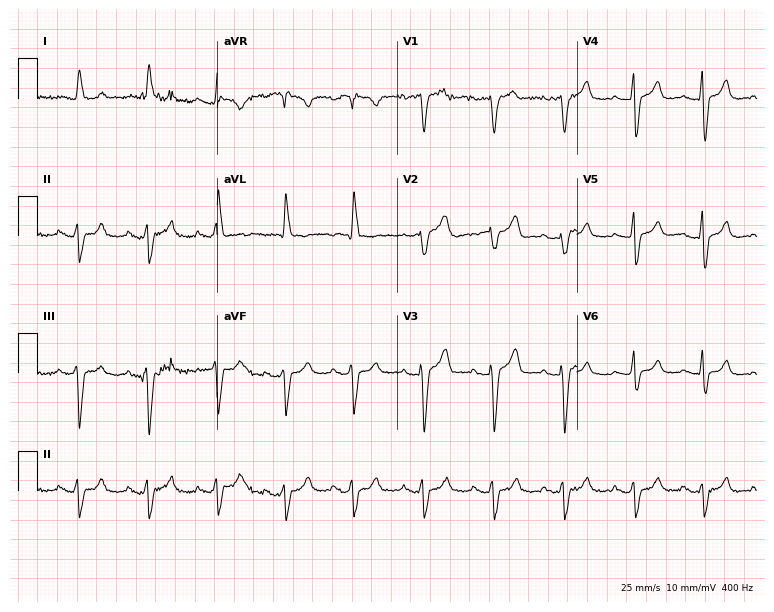
ECG (7.3-second recording at 400 Hz) — a 76-year-old female. Screened for six findings — first-degree AV block, right bundle branch block, left bundle branch block, sinus bradycardia, atrial fibrillation, sinus tachycardia — none is recorded.